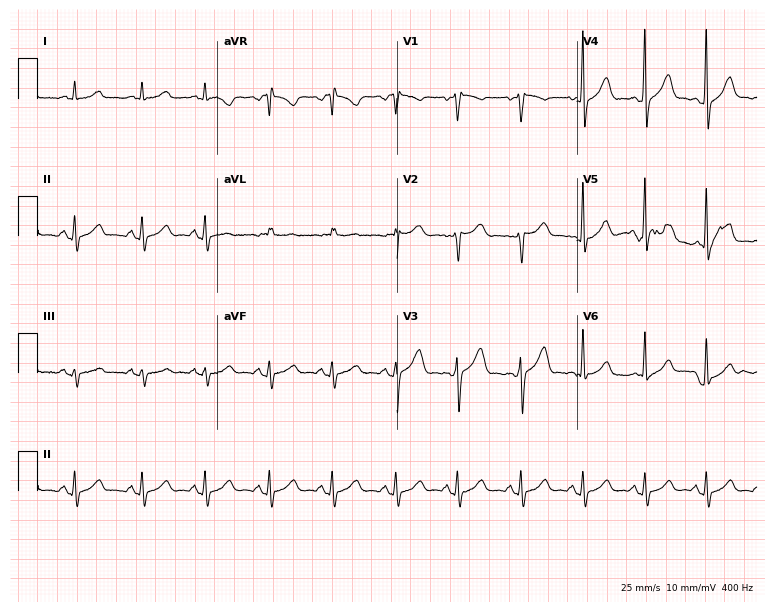
Resting 12-lead electrocardiogram. Patient: a 41-year-old man. Read as a normal ECG.